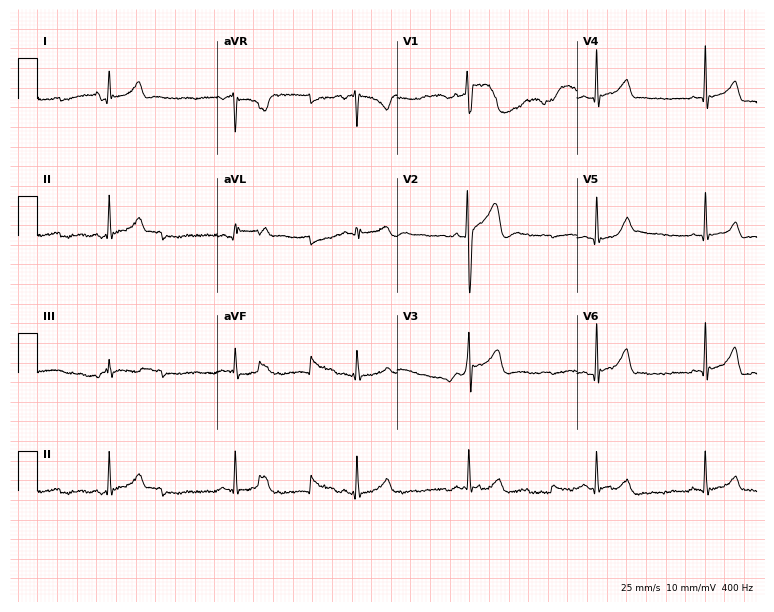
12-lead ECG from a 24-year-old male (7.3-second recording at 400 Hz). Shows sinus bradycardia (a sinus rate of 50 beats per minute or less).